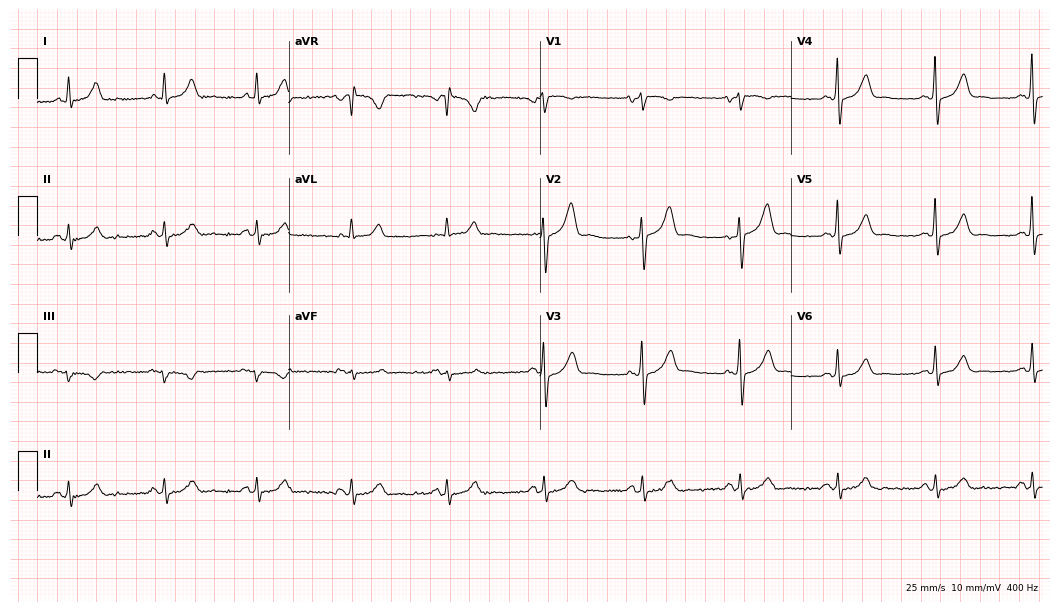
Resting 12-lead electrocardiogram (10.2-second recording at 400 Hz). Patient: a male, 66 years old. None of these six findings is recorded: first-degree AV block, right bundle branch block, left bundle branch block, sinus bradycardia, atrial fibrillation, sinus tachycardia.